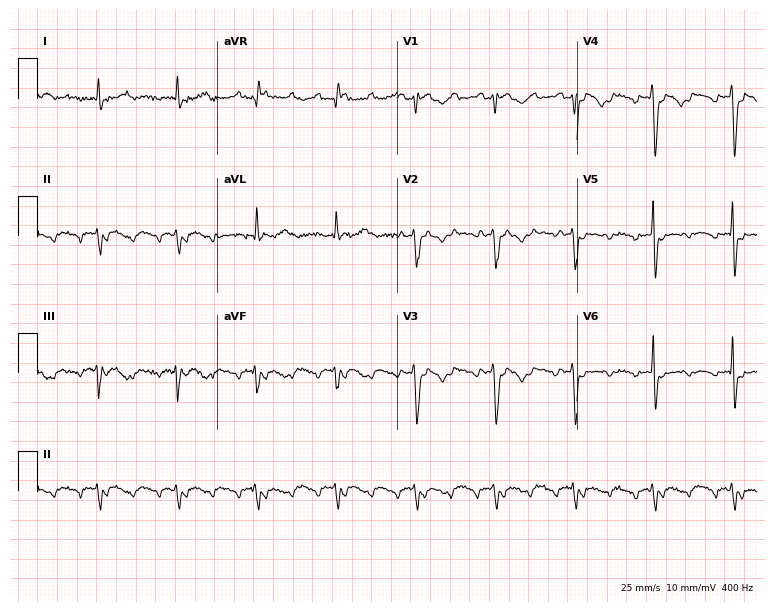
ECG (7.3-second recording at 400 Hz) — a 61-year-old man. Screened for six findings — first-degree AV block, right bundle branch block, left bundle branch block, sinus bradycardia, atrial fibrillation, sinus tachycardia — none is recorded.